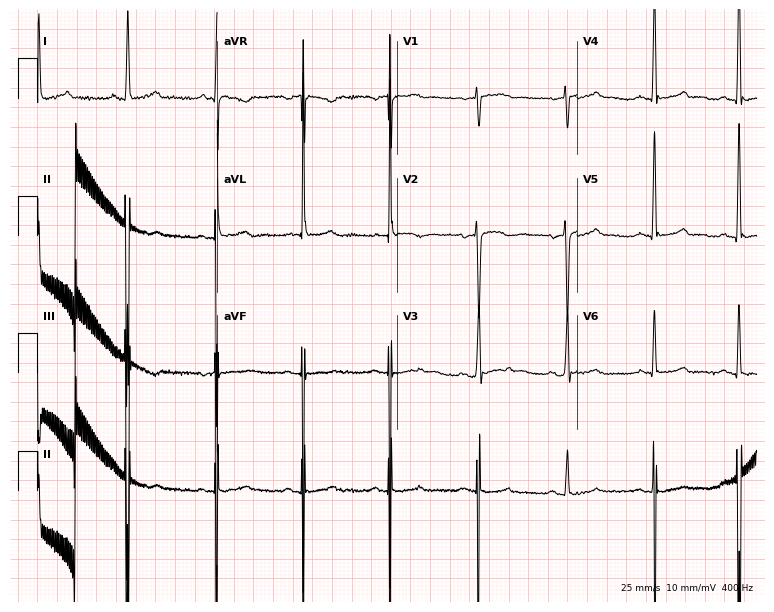
12-lead ECG (7.3-second recording at 400 Hz) from a 45-year-old woman. Screened for six findings — first-degree AV block, right bundle branch block, left bundle branch block, sinus bradycardia, atrial fibrillation, sinus tachycardia — none is recorded. Other findings, if any, are not listed.